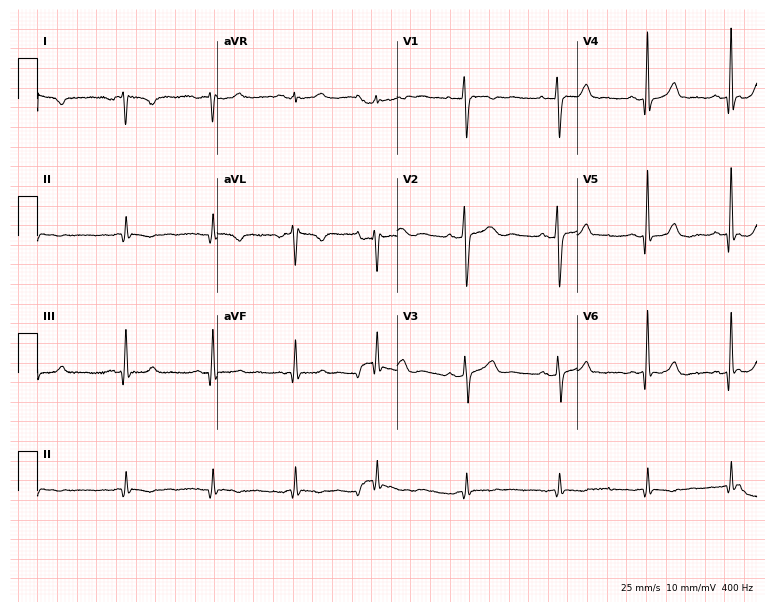
ECG — a 30-year-old female. Screened for six findings — first-degree AV block, right bundle branch block, left bundle branch block, sinus bradycardia, atrial fibrillation, sinus tachycardia — none is recorded. Findings outside these six are not listed.